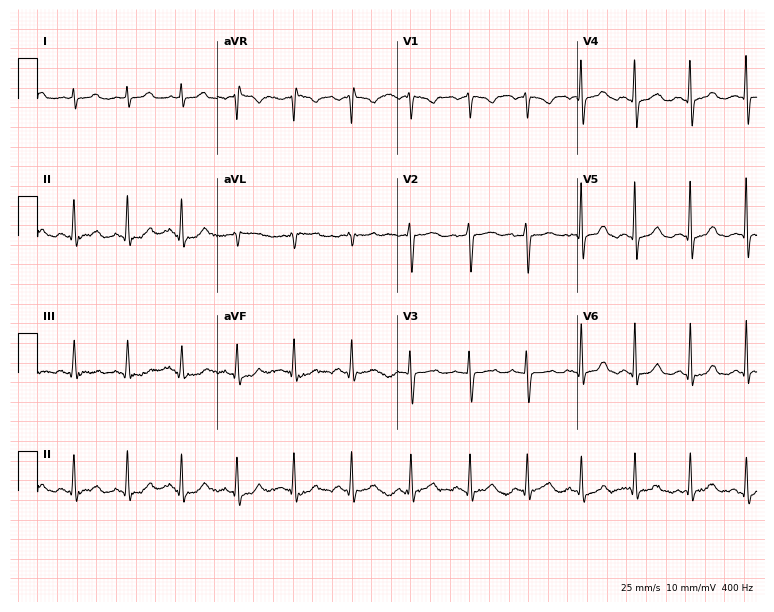
Standard 12-lead ECG recorded from a woman, 42 years old (7.3-second recording at 400 Hz). The tracing shows sinus tachycardia (a sinus rate of 100 beats per minute or more).